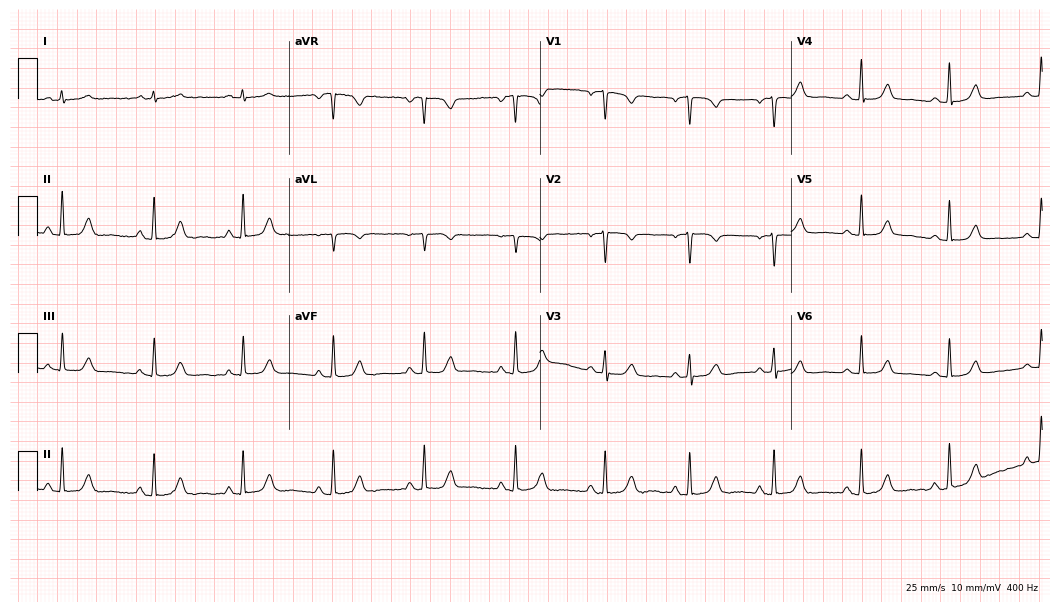
12-lead ECG from a 57-year-old female. Labelled as a normal ECG.